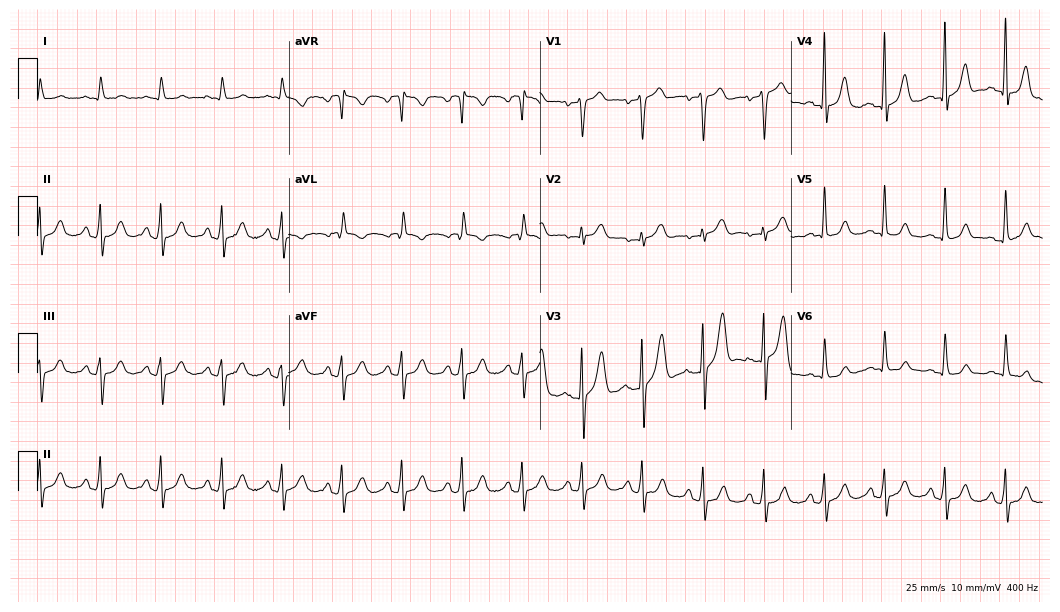
12-lead ECG (10.2-second recording at 400 Hz) from a 71-year-old man. Labelled as a normal ECG.